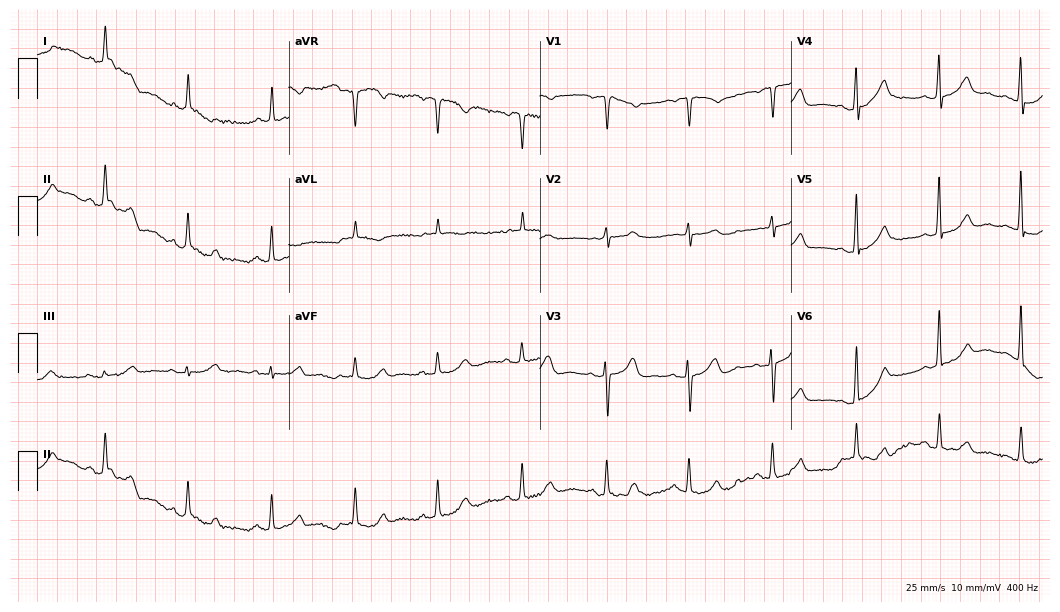
ECG (10.2-second recording at 400 Hz) — a 75-year-old female patient. Labelled as a normal ECG.